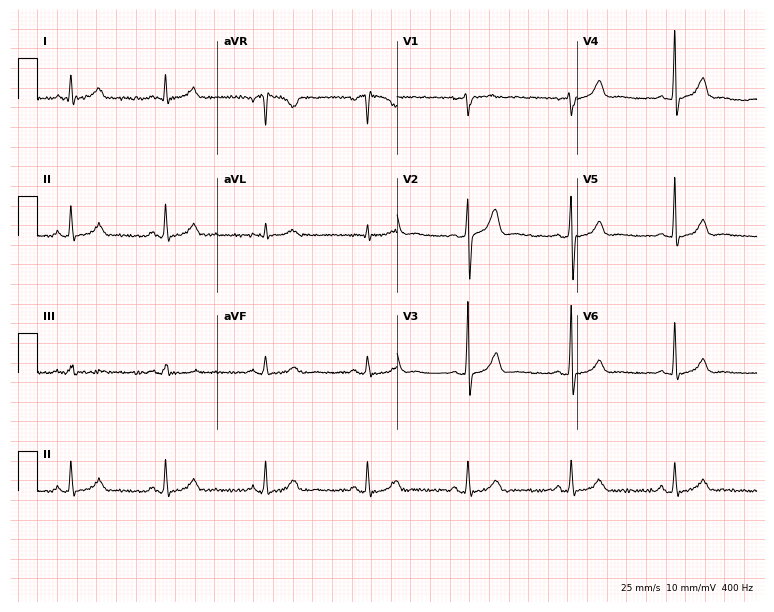
12-lead ECG from a male patient, 42 years old (7.3-second recording at 400 Hz). Recorded interpretation: within normal limits.